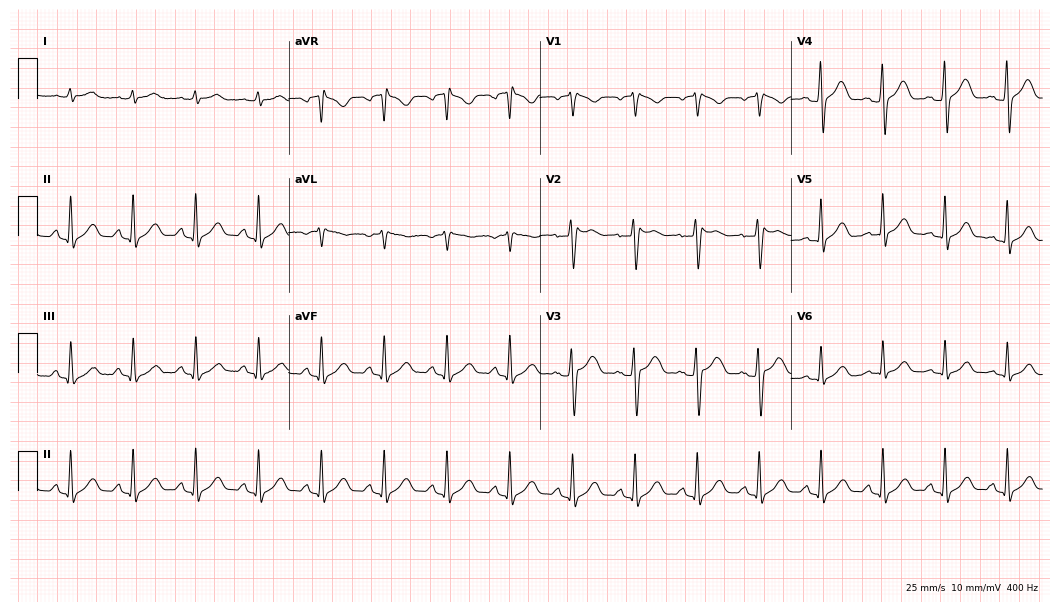
12-lead ECG from a man, 42 years old. No first-degree AV block, right bundle branch block (RBBB), left bundle branch block (LBBB), sinus bradycardia, atrial fibrillation (AF) or sinus tachycardia recorded for this tracing. Only these six findings were labelled.